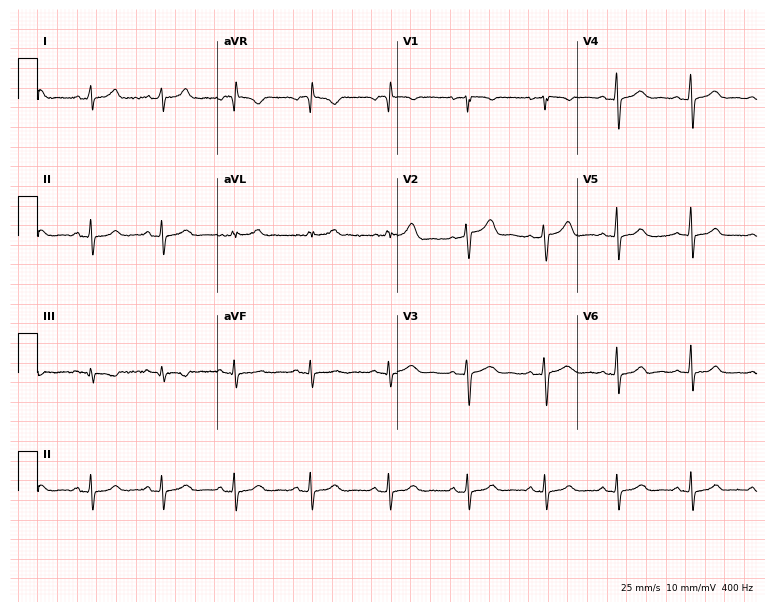
Resting 12-lead electrocardiogram. Patient: a female, 37 years old. None of these six findings is recorded: first-degree AV block, right bundle branch block, left bundle branch block, sinus bradycardia, atrial fibrillation, sinus tachycardia. Only these six findings were labelled.